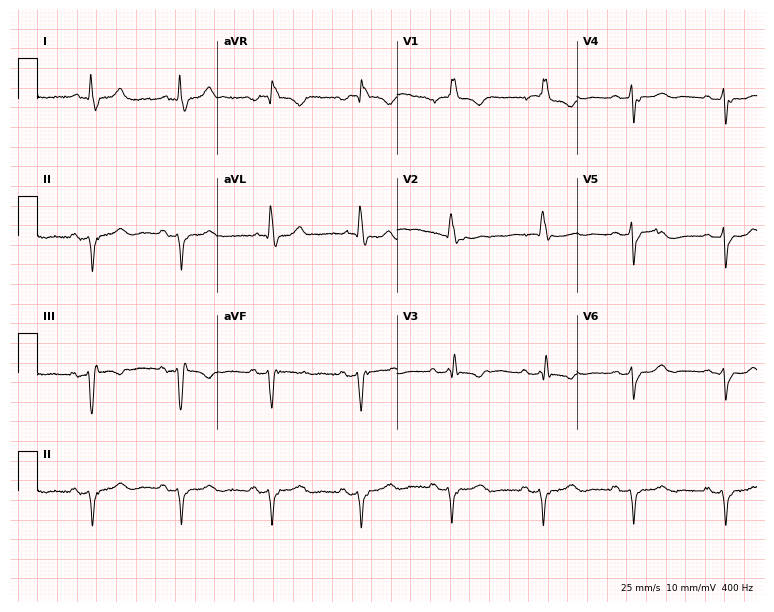
ECG — a female patient, 82 years old. Findings include right bundle branch block.